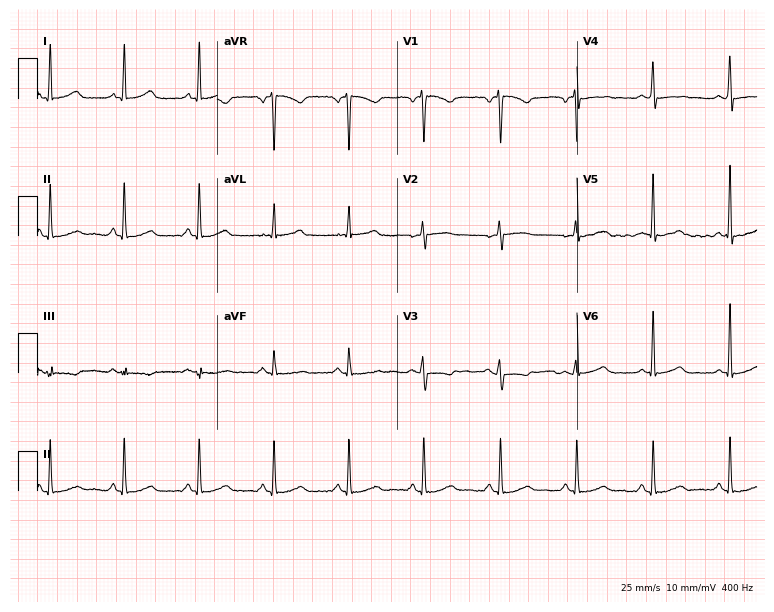
ECG — a female, 45 years old. Labelled as a normal ECG.